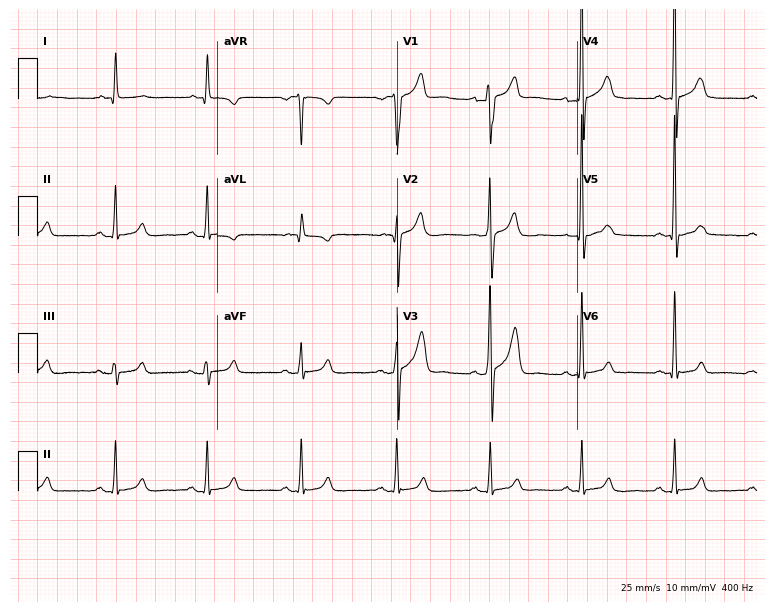
Electrocardiogram (7.3-second recording at 400 Hz), a male, 28 years old. Overall reading on record: normal ECG.